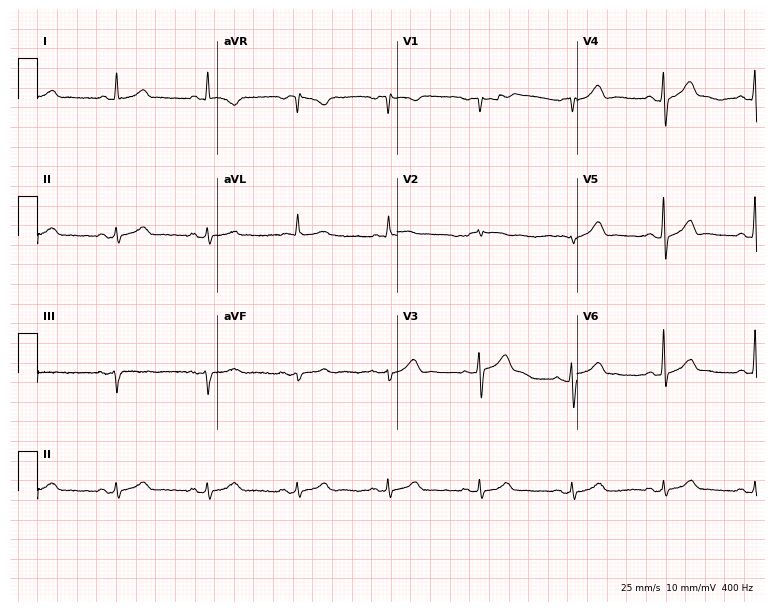
Electrocardiogram, a male patient, 68 years old. Overall reading on record: normal ECG.